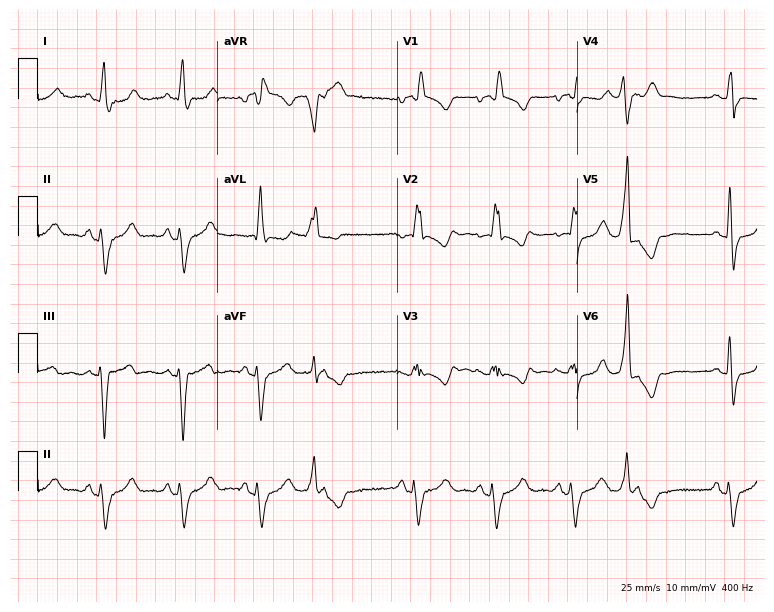
12-lead ECG from a female patient, 69 years old. Screened for six findings — first-degree AV block, right bundle branch block (RBBB), left bundle branch block (LBBB), sinus bradycardia, atrial fibrillation (AF), sinus tachycardia — none is recorded. Only these six findings were labelled.